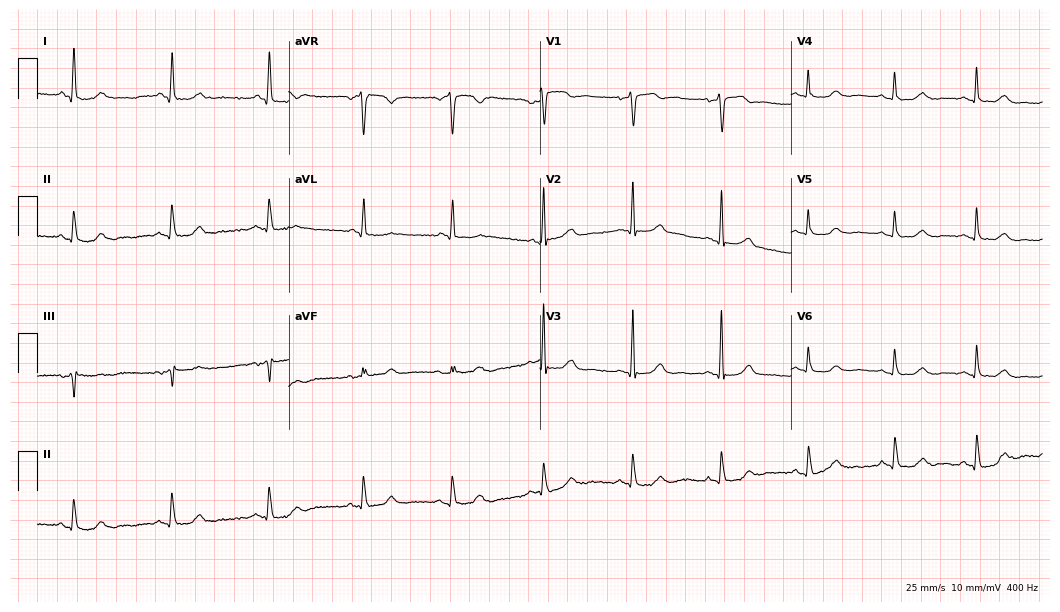
12-lead ECG (10.2-second recording at 400 Hz) from a woman, 51 years old. Screened for six findings — first-degree AV block, right bundle branch block, left bundle branch block, sinus bradycardia, atrial fibrillation, sinus tachycardia — none is recorded. Other findings, if any, are not listed.